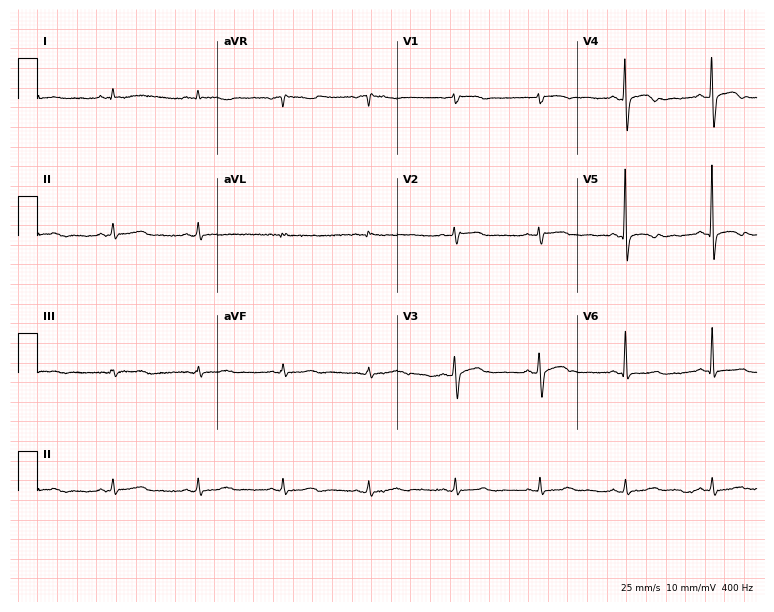
Resting 12-lead electrocardiogram. Patient: a 60-year-old female. None of these six findings is recorded: first-degree AV block, right bundle branch block (RBBB), left bundle branch block (LBBB), sinus bradycardia, atrial fibrillation (AF), sinus tachycardia. Findings outside these six are not listed.